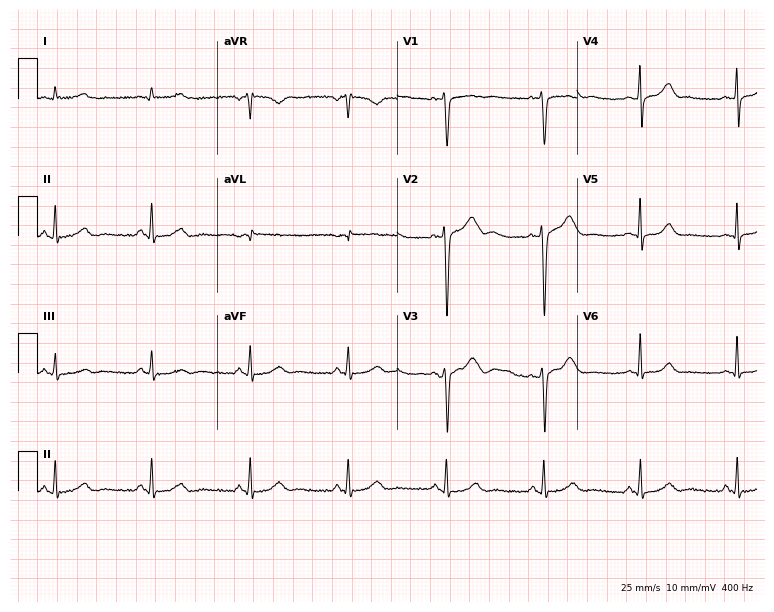
Standard 12-lead ECG recorded from a male patient, 41 years old. None of these six findings is recorded: first-degree AV block, right bundle branch block, left bundle branch block, sinus bradycardia, atrial fibrillation, sinus tachycardia.